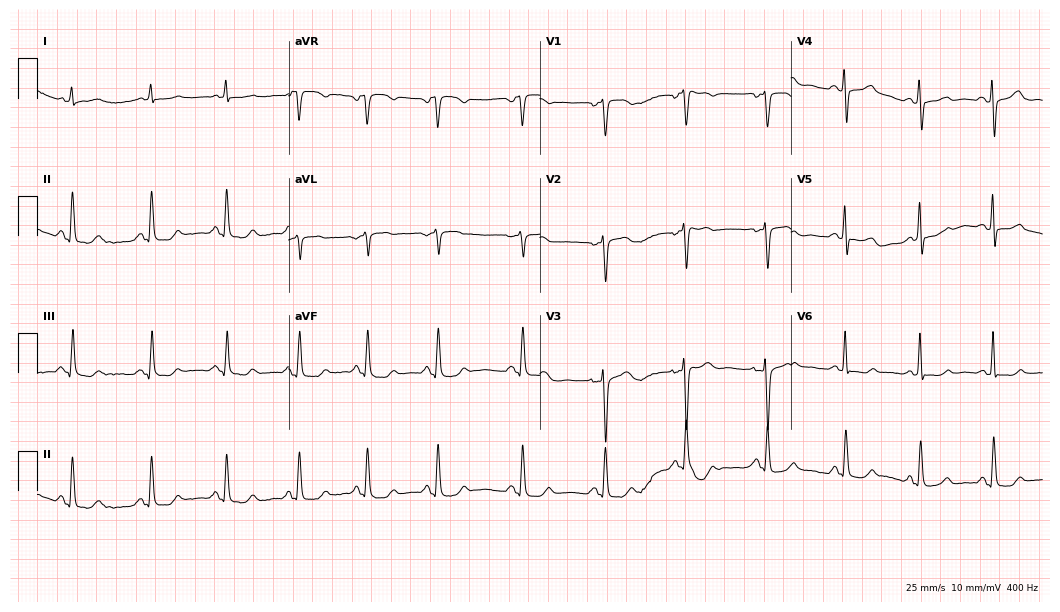
12-lead ECG (10.2-second recording at 400 Hz) from a female patient, 49 years old. Labelled as a normal ECG.